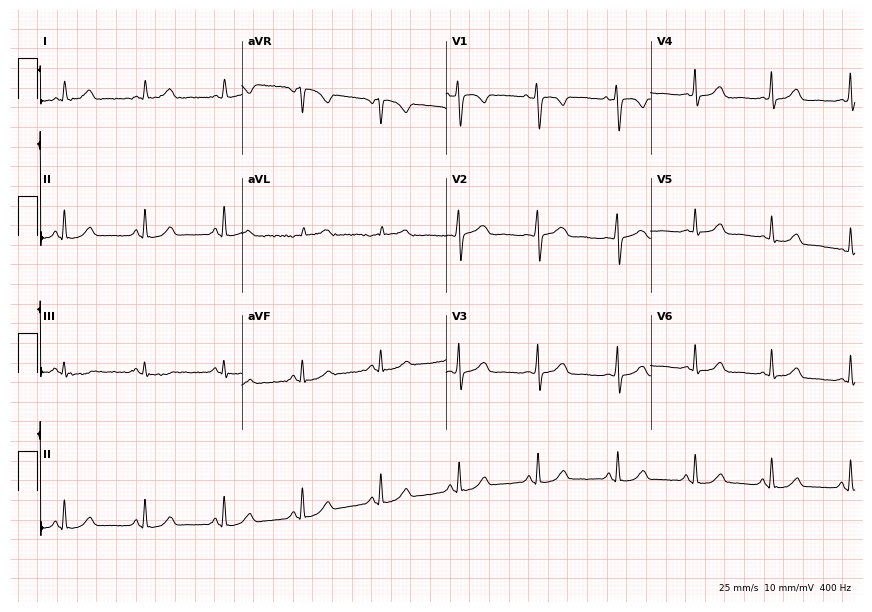
ECG (8.3-second recording at 400 Hz) — a 41-year-old female. Labelled as a normal ECG.